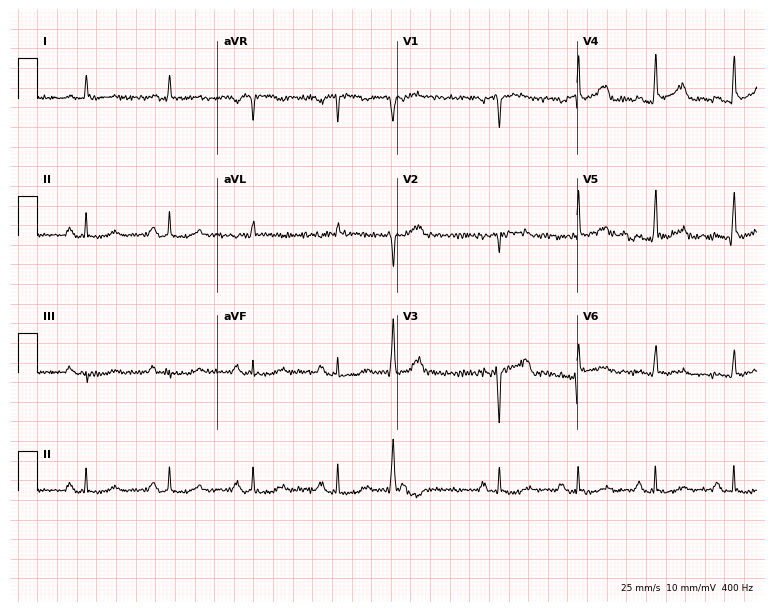
Electrocardiogram (7.3-second recording at 400 Hz), a man, 81 years old. Of the six screened findings (first-degree AV block, right bundle branch block, left bundle branch block, sinus bradycardia, atrial fibrillation, sinus tachycardia), none is recorded. Other findings, if any, are not listed.